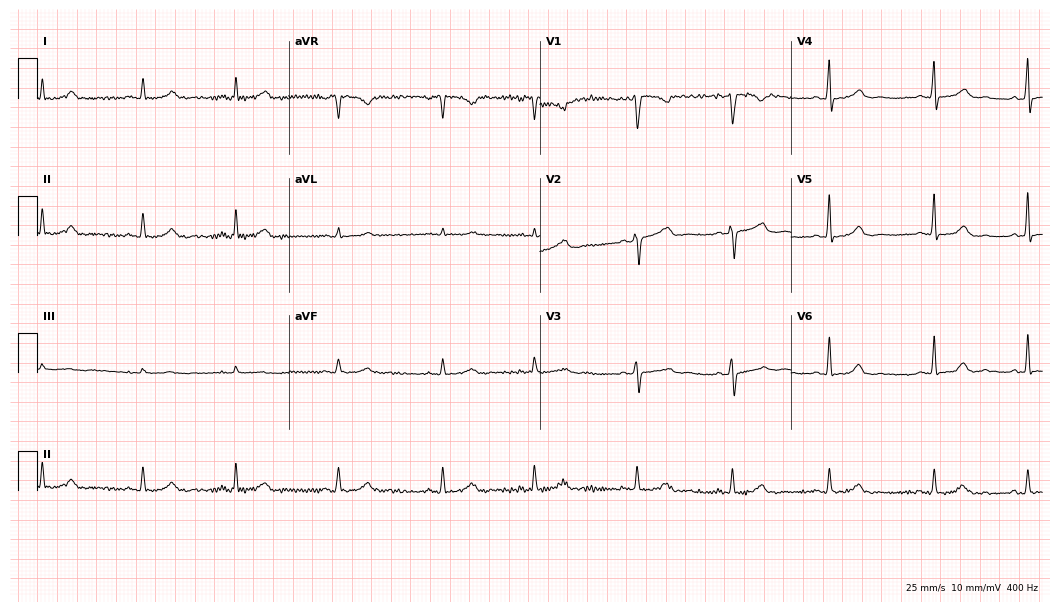
Electrocardiogram, a 37-year-old female patient. Of the six screened findings (first-degree AV block, right bundle branch block, left bundle branch block, sinus bradycardia, atrial fibrillation, sinus tachycardia), none is recorded.